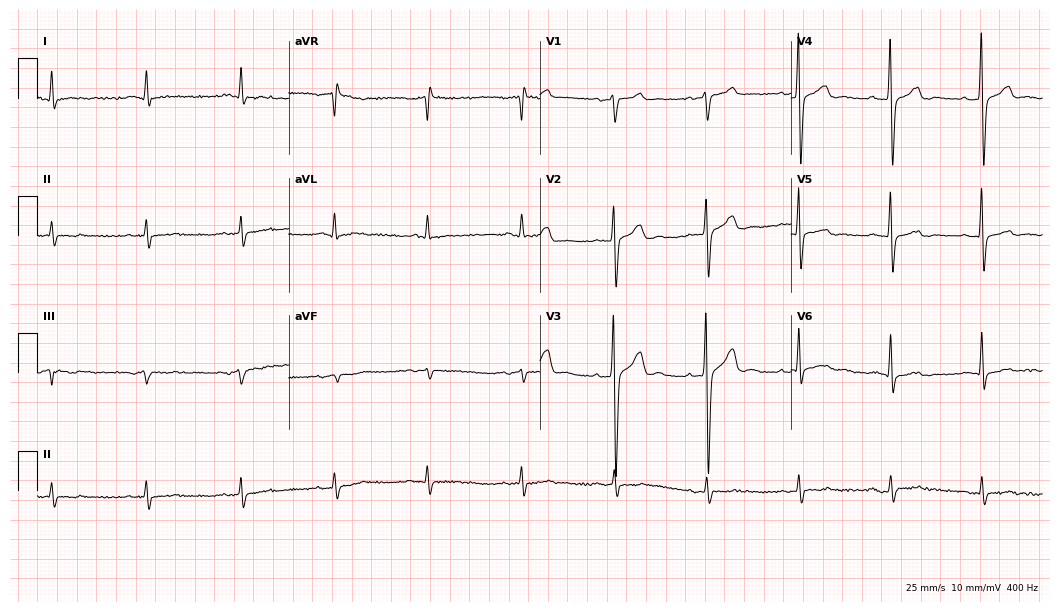
ECG — a 67-year-old male. Labelled as a normal ECG.